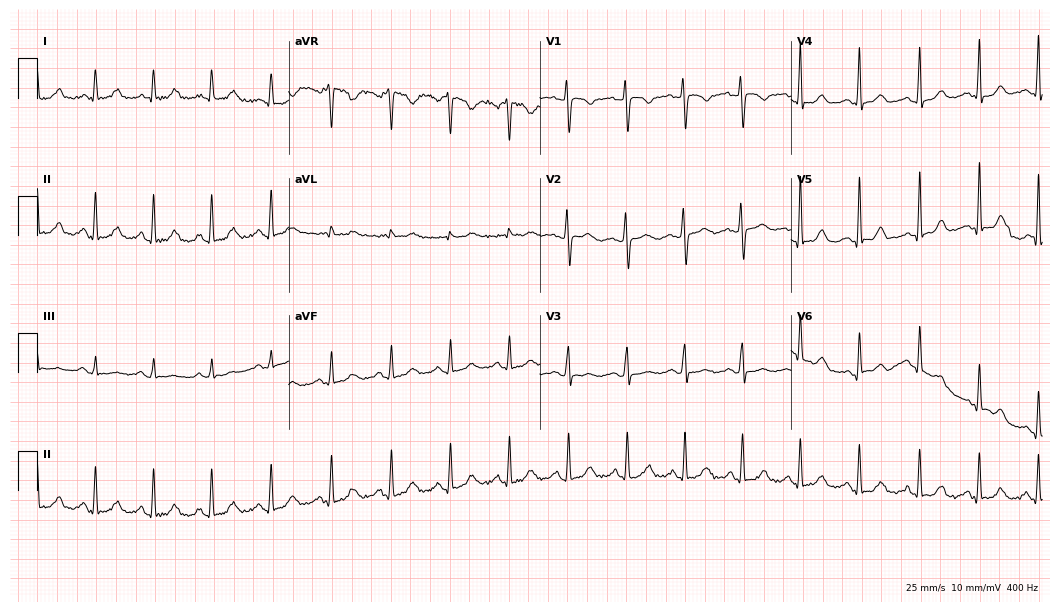
12-lead ECG from a female, 40 years old. Labelled as a normal ECG.